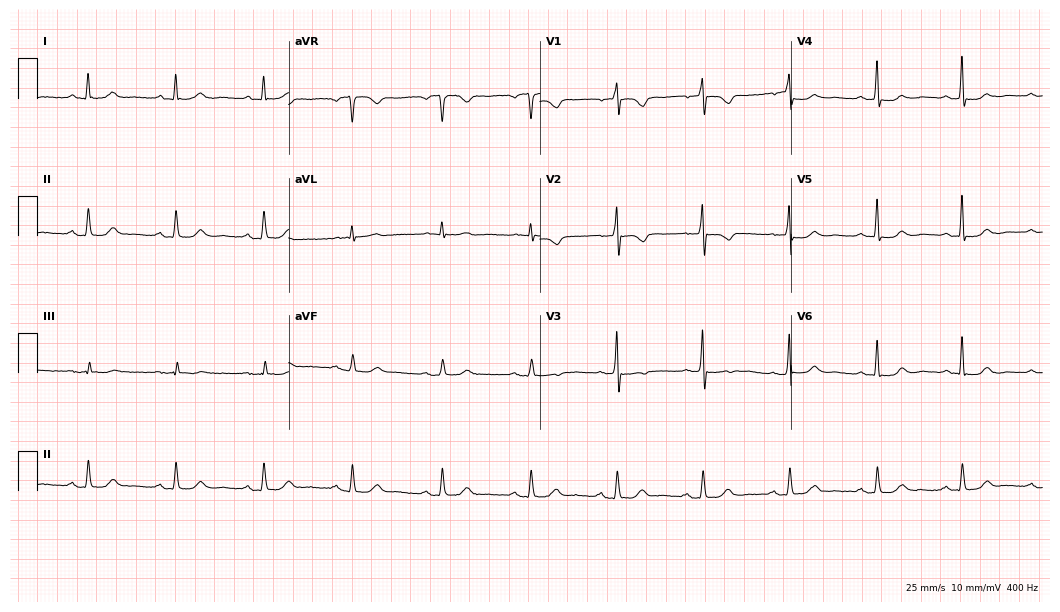
12-lead ECG (10.2-second recording at 400 Hz) from a 71-year-old woman. Screened for six findings — first-degree AV block, right bundle branch block, left bundle branch block, sinus bradycardia, atrial fibrillation, sinus tachycardia — none is recorded. Findings outside these six are not listed.